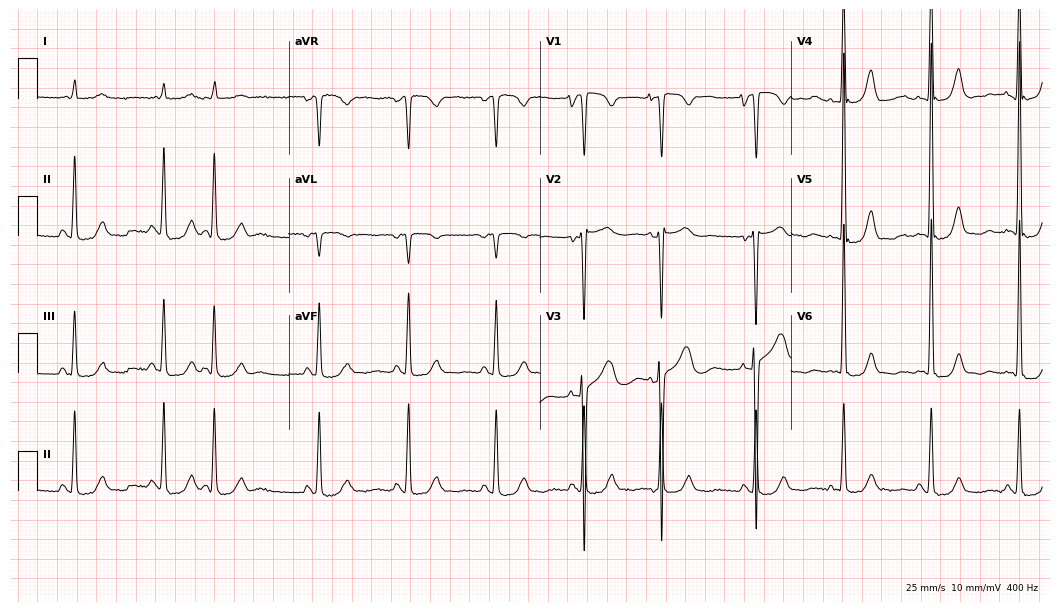
Standard 12-lead ECG recorded from a female, 84 years old (10.2-second recording at 400 Hz). None of these six findings is recorded: first-degree AV block, right bundle branch block (RBBB), left bundle branch block (LBBB), sinus bradycardia, atrial fibrillation (AF), sinus tachycardia. Only these six findings were labelled.